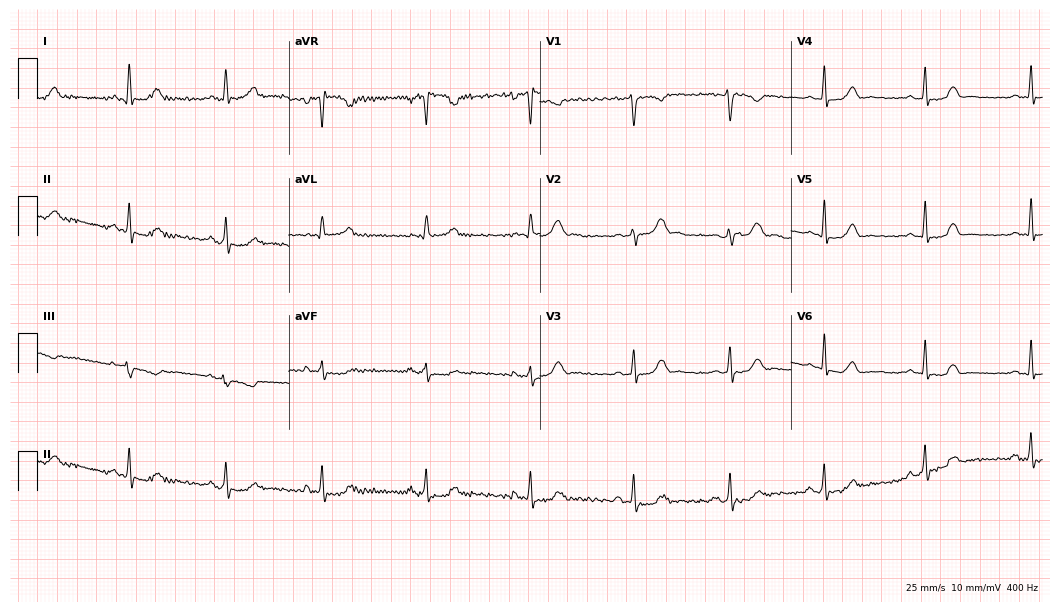
ECG — a female, 30 years old. Labelled as a normal ECG.